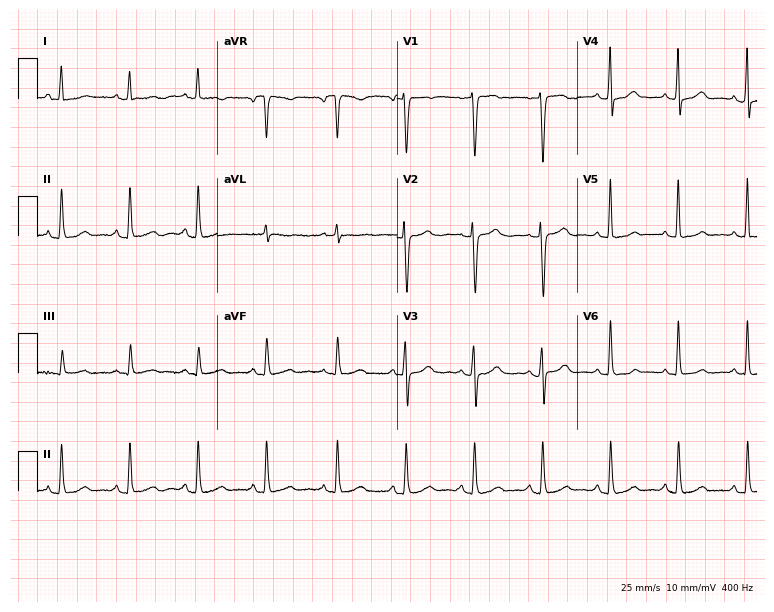
ECG — a female patient, 48 years old. Screened for six findings — first-degree AV block, right bundle branch block, left bundle branch block, sinus bradycardia, atrial fibrillation, sinus tachycardia — none is recorded.